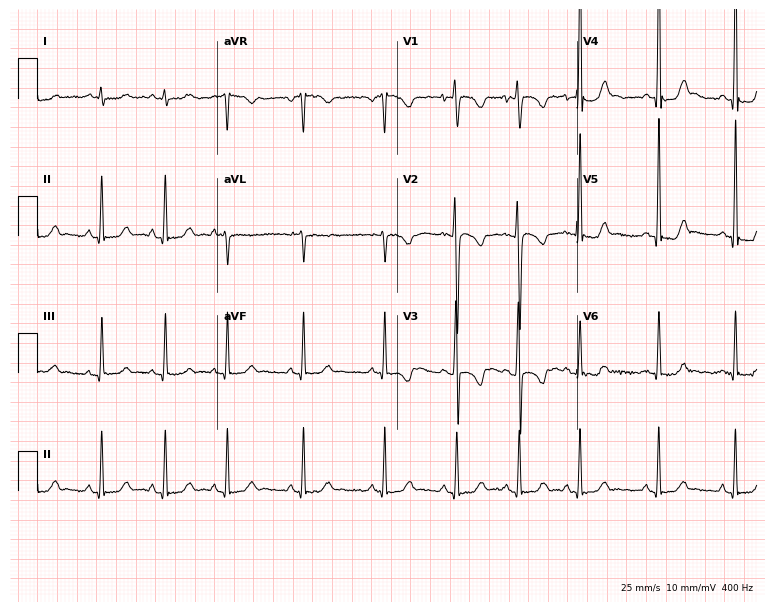
ECG (7.3-second recording at 400 Hz) — a male, 68 years old. Screened for six findings — first-degree AV block, right bundle branch block, left bundle branch block, sinus bradycardia, atrial fibrillation, sinus tachycardia — none is recorded.